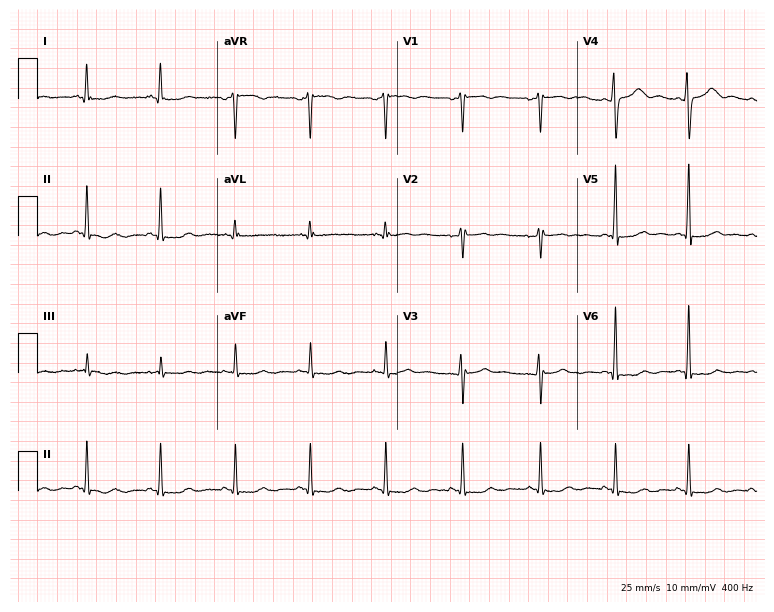
12-lead ECG from a woman, 49 years old. No first-degree AV block, right bundle branch block (RBBB), left bundle branch block (LBBB), sinus bradycardia, atrial fibrillation (AF) or sinus tachycardia recorded for this tracing.